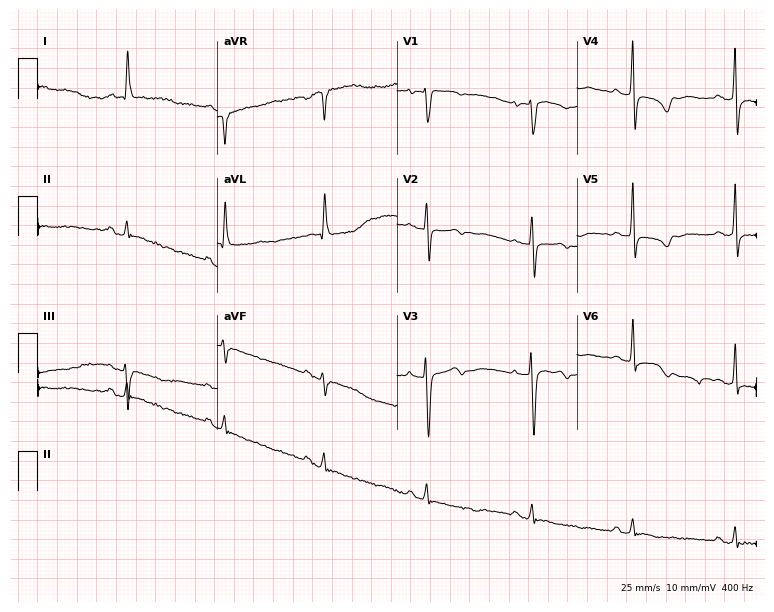
Resting 12-lead electrocardiogram. Patient: a 71-year-old woman. None of these six findings is recorded: first-degree AV block, right bundle branch block (RBBB), left bundle branch block (LBBB), sinus bradycardia, atrial fibrillation (AF), sinus tachycardia. Findings outside these six are not listed.